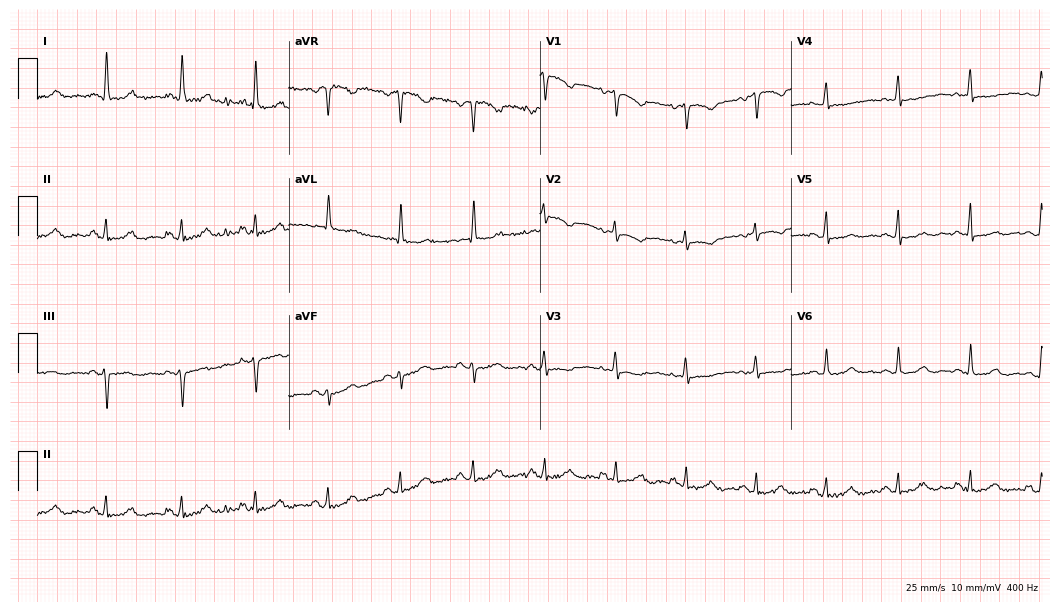
ECG (10.2-second recording at 400 Hz) — a female, 65 years old. Screened for six findings — first-degree AV block, right bundle branch block, left bundle branch block, sinus bradycardia, atrial fibrillation, sinus tachycardia — none is recorded.